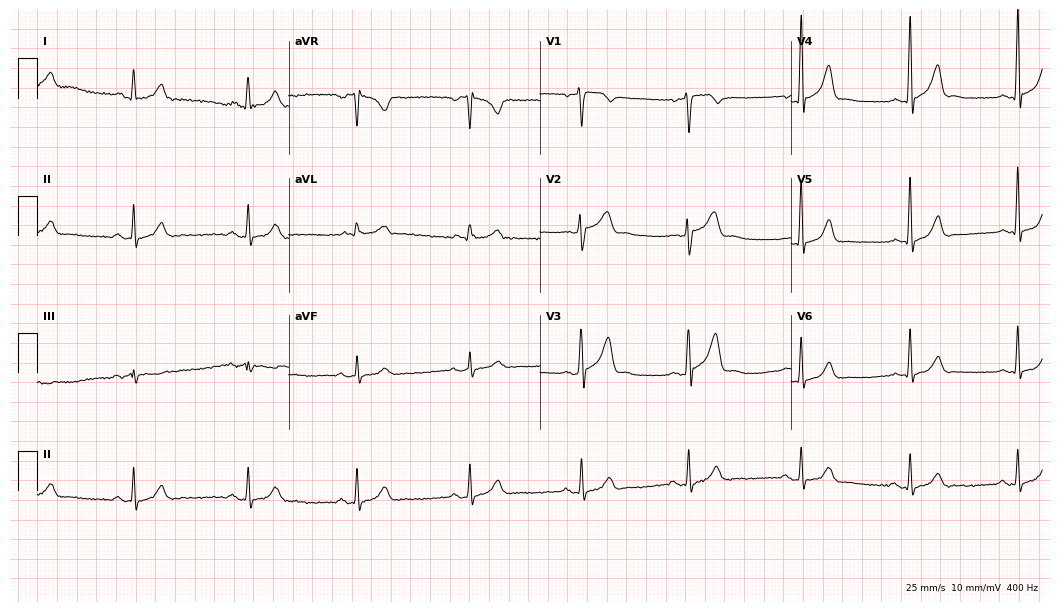
Electrocardiogram (10.2-second recording at 400 Hz), a man, 51 years old. Overall reading on record: normal ECG.